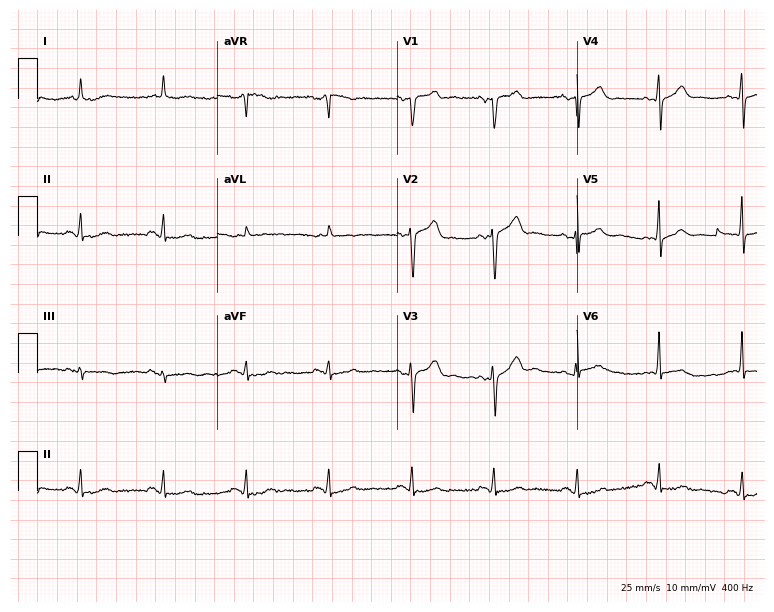
12-lead ECG from a male patient, 69 years old (7.3-second recording at 400 Hz). No first-degree AV block, right bundle branch block (RBBB), left bundle branch block (LBBB), sinus bradycardia, atrial fibrillation (AF) or sinus tachycardia recorded for this tracing. Only these six findings were labelled.